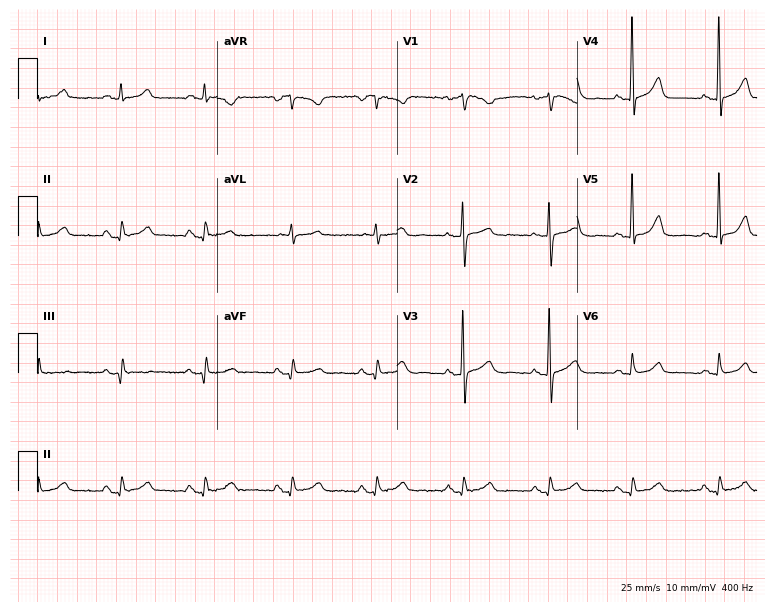
Standard 12-lead ECG recorded from an 80-year-old female patient. None of these six findings is recorded: first-degree AV block, right bundle branch block, left bundle branch block, sinus bradycardia, atrial fibrillation, sinus tachycardia.